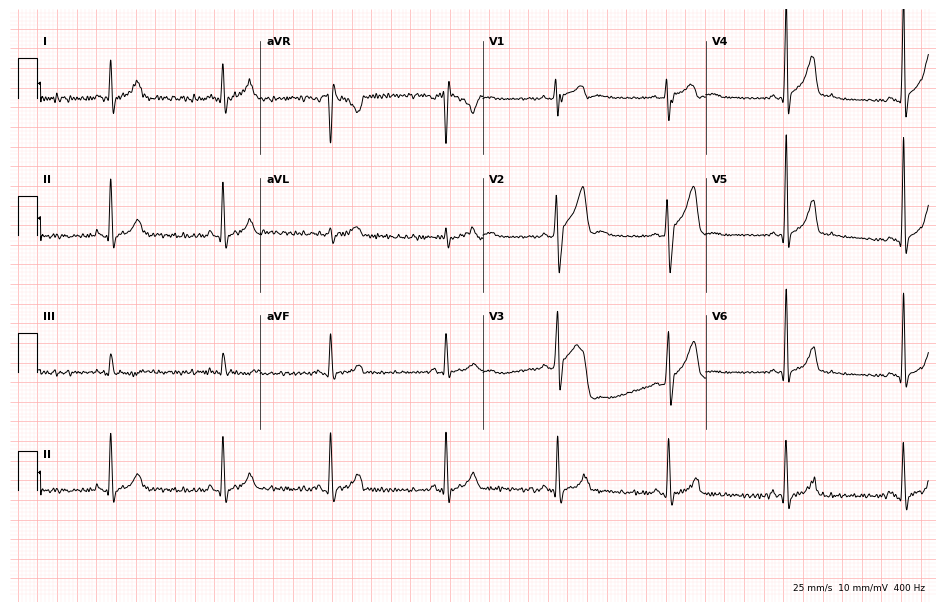
Electrocardiogram (9.1-second recording at 400 Hz), a male patient, 24 years old. Overall reading on record: normal ECG.